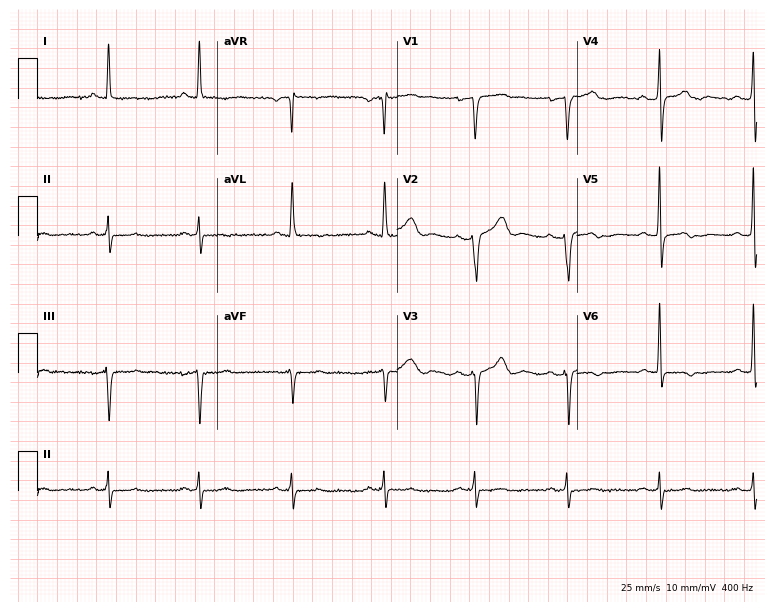
12-lead ECG from a 74-year-old female patient. No first-degree AV block, right bundle branch block (RBBB), left bundle branch block (LBBB), sinus bradycardia, atrial fibrillation (AF) or sinus tachycardia recorded for this tracing.